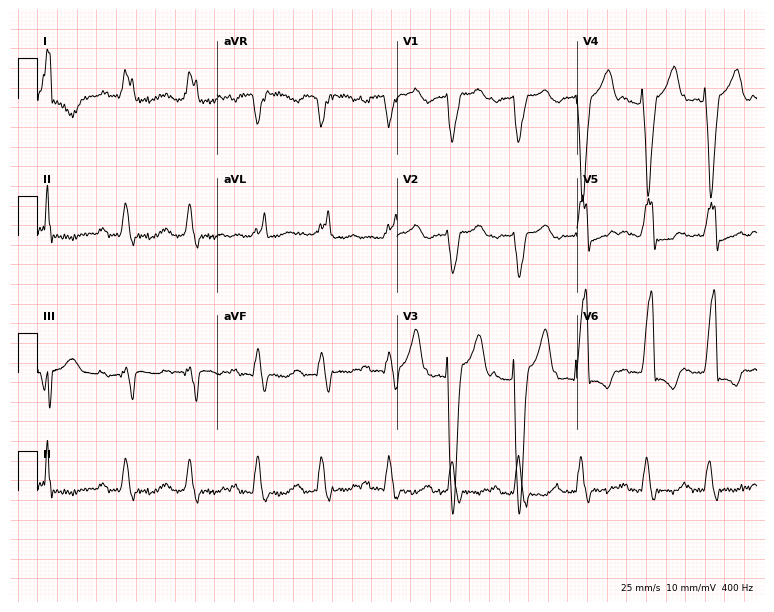
Electrocardiogram (7.3-second recording at 400 Hz), an 81-year-old female patient. Interpretation includes first-degree AV block, left bundle branch block (LBBB).